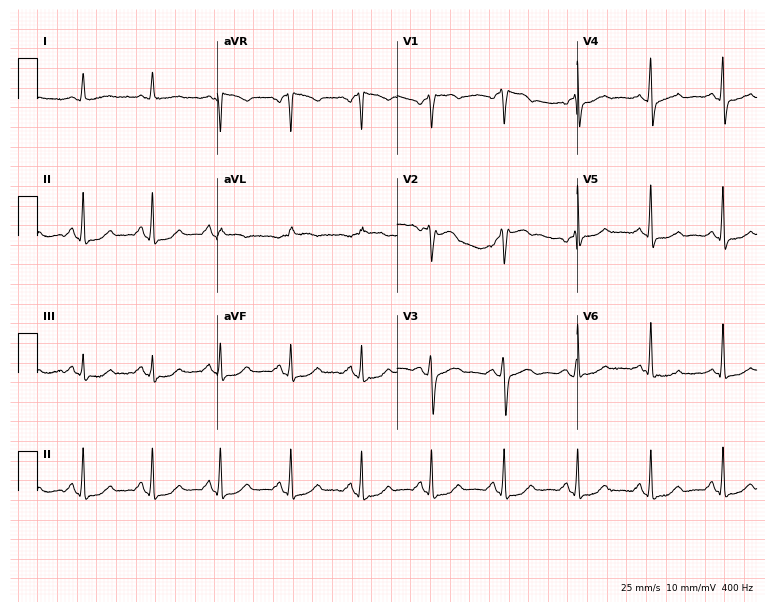
Standard 12-lead ECG recorded from a 58-year-old female (7.3-second recording at 400 Hz). None of these six findings is recorded: first-degree AV block, right bundle branch block, left bundle branch block, sinus bradycardia, atrial fibrillation, sinus tachycardia.